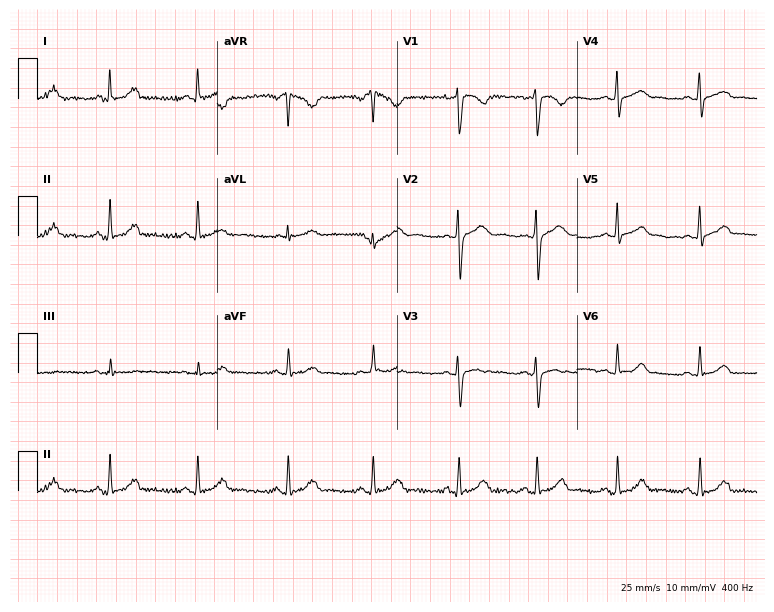
12-lead ECG (7.3-second recording at 400 Hz) from a female patient, 23 years old. Labelled as a normal ECG.